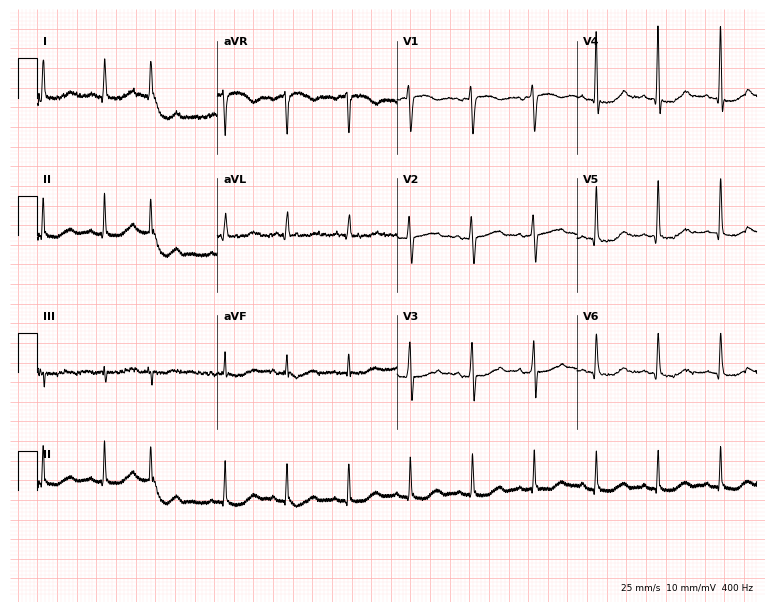
Standard 12-lead ECG recorded from a 79-year-old woman. None of these six findings is recorded: first-degree AV block, right bundle branch block, left bundle branch block, sinus bradycardia, atrial fibrillation, sinus tachycardia. Only these six findings were labelled.